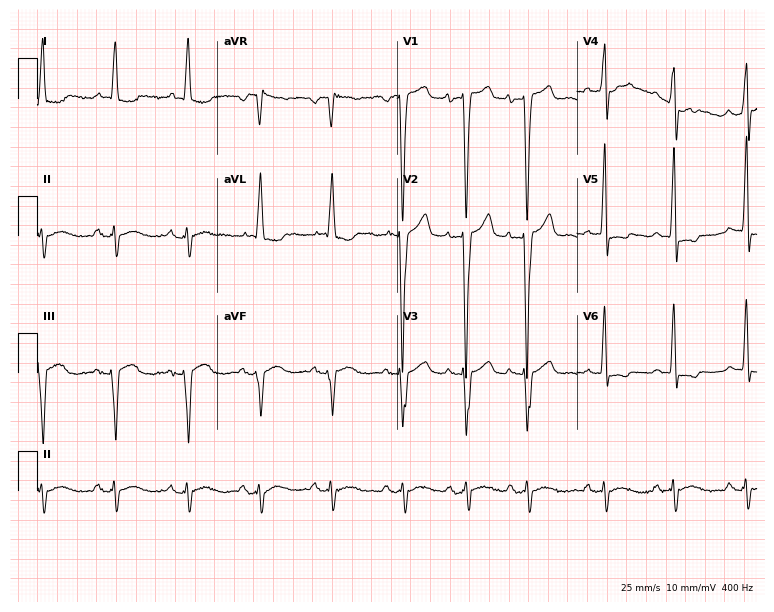
Resting 12-lead electrocardiogram (7.3-second recording at 400 Hz). Patient: a female, 85 years old. None of these six findings is recorded: first-degree AV block, right bundle branch block, left bundle branch block, sinus bradycardia, atrial fibrillation, sinus tachycardia.